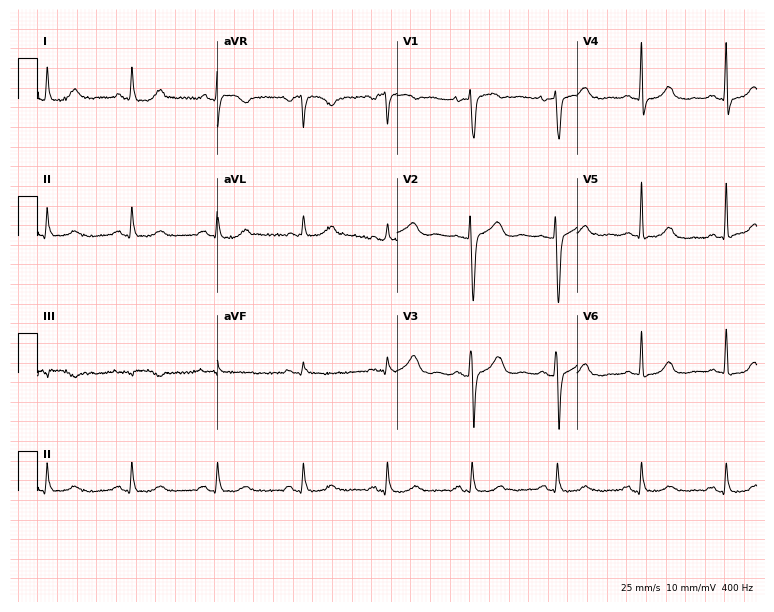
Standard 12-lead ECG recorded from a female patient, 72 years old (7.3-second recording at 400 Hz). Read as a normal ECG.